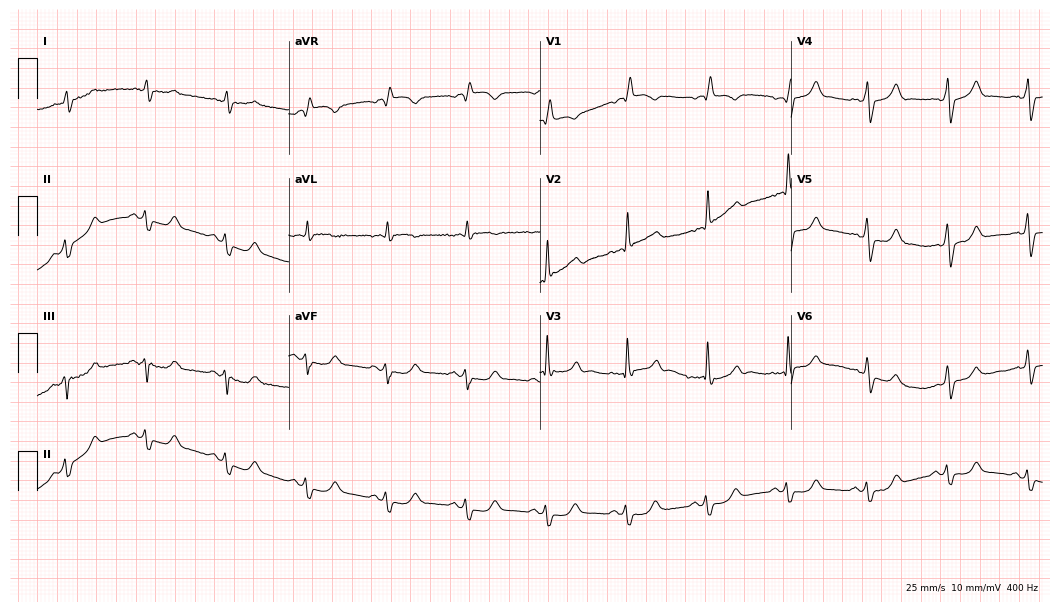
Electrocardiogram, an 86-year-old male patient. Of the six screened findings (first-degree AV block, right bundle branch block, left bundle branch block, sinus bradycardia, atrial fibrillation, sinus tachycardia), none is recorded. Only these six findings were labelled.